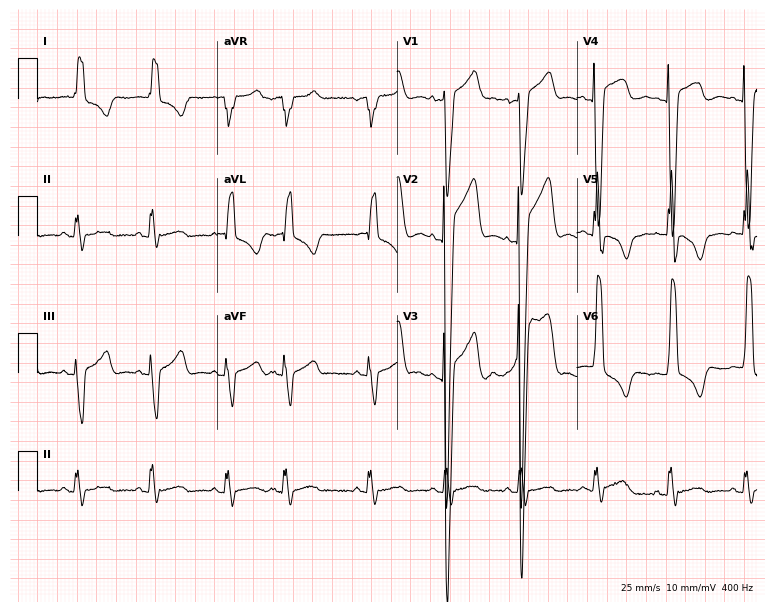
Electrocardiogram (7.3-second recording at 400 Hz), an 84-year-old woman. Interpretation includes left bundle branch block (LBBB).